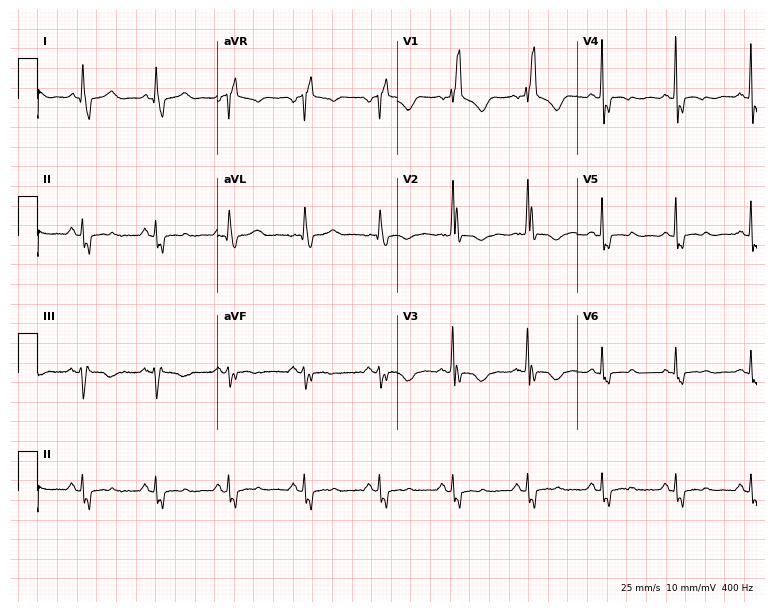
Standard 12-lead ECG recorded from a 72-year-old woman (7.3-second recording at 400 Hz). The tracing shows right bundle branch block (RBBB).